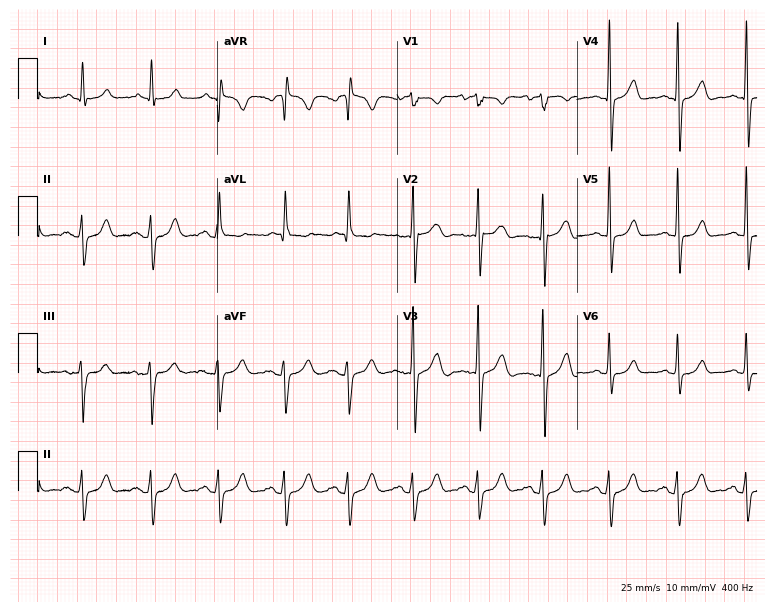
Standard 12-lead ECG recorded from a 52-year-old male patient (7.3-second recording at 400 Hz). None of these six findings is recorded: first-degree AV block, right bundle branch block, left bundle branch block, sinus bradycardia, atrial fibrillation, sinus tachycardia.